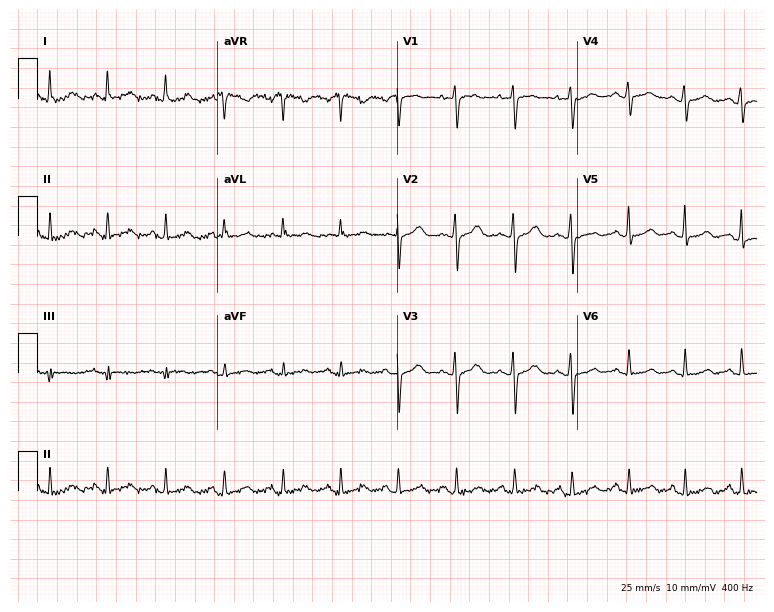
Electrocardiogram, a woman, 36 years old. Interpretation includes sinus tachycardia (a sinus rate of 100 beats per minute or more).